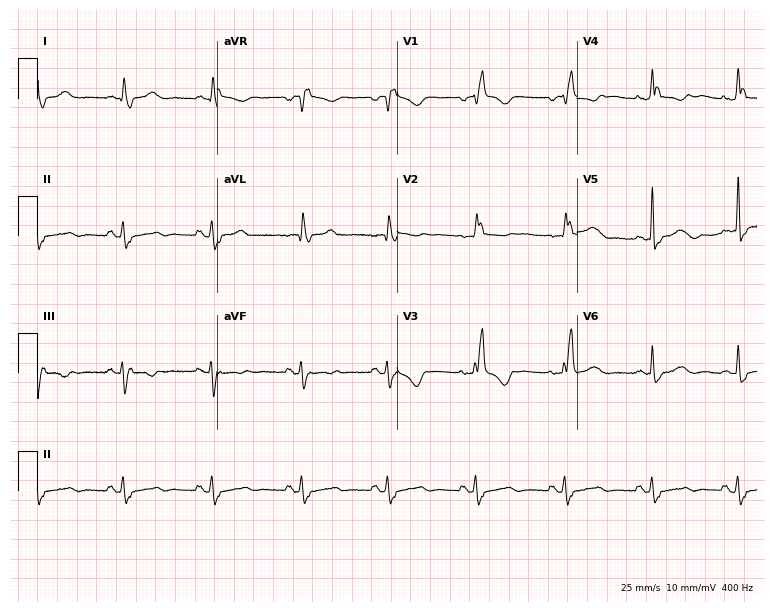
Standard 12-lead ECG recorded from a 78-year-old female patient. The tracing shows right bundle branch block.